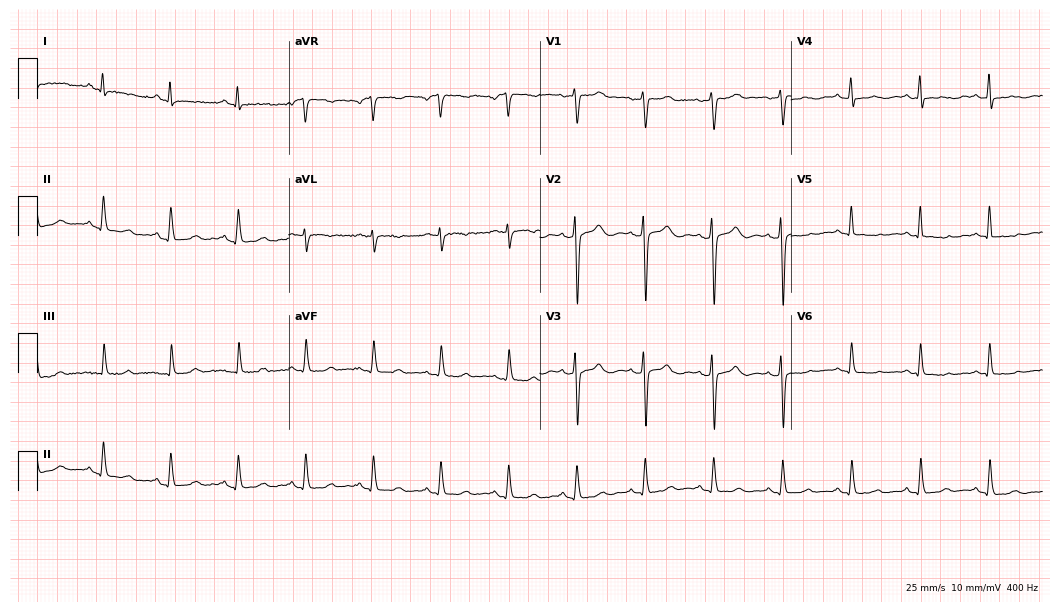
Electrocardiogram (10.2-second recording at 400 Hz), a 58-year-old female patient. Of the six screened findings (first-degree AV block, right bundle branch block (RBBB), left bundle branch block (LBBB), sinus bradycardia, atrial fibrillation (AF), sinus tachycardia), none is recorded.